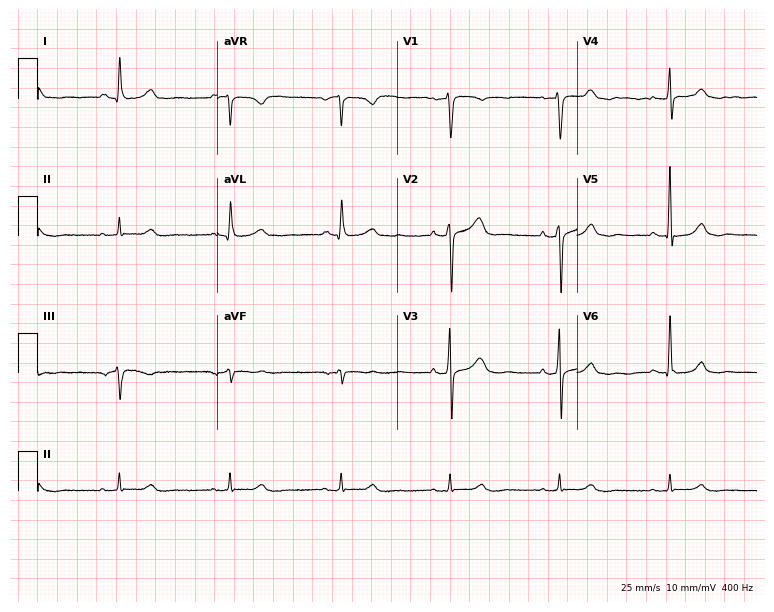
12-lead ECG from a 58-year-old man. No first-degree AV block, right bundle branch block, left bundle branch block, sinus bradycardia, atrial fibrillation or sinus tachycardia recorded for this tracing.